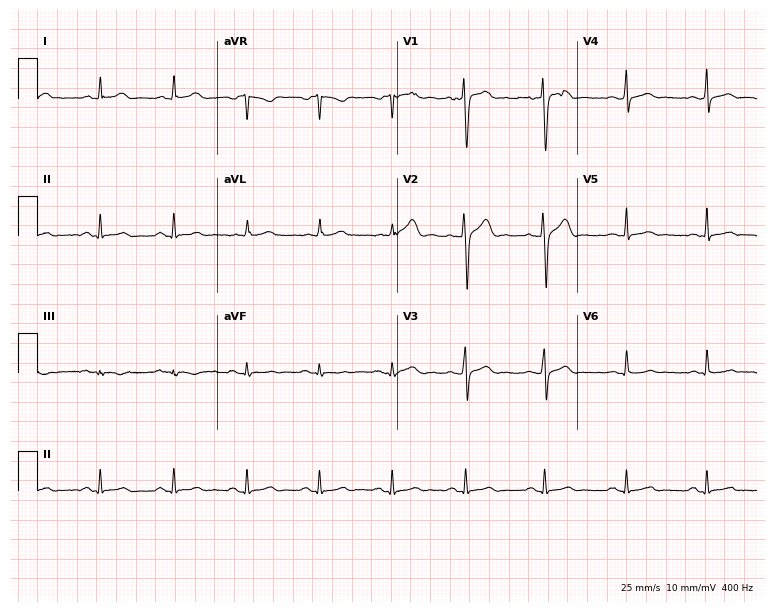
Standard 12-lead ECG recorded from a 29-year-old man (7.3-second recording at 400 Hz). None of these six findings is recorded: first-degree AV block, right bundle branch block, left bundle branch block, sinus bradycardia, atrial fibrillation, sinus tachycardia. Other findings, if any, are not listed.